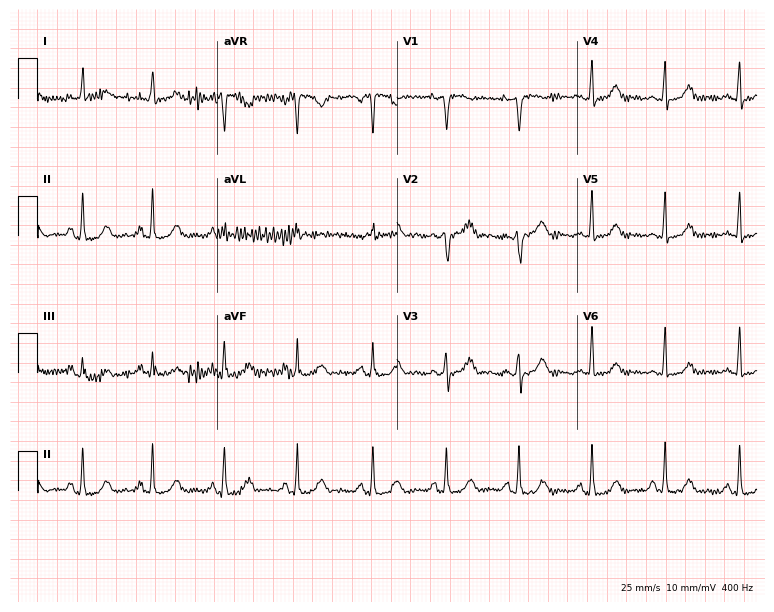
Electrocardiogram (7.3-second recording at 400 Hz), a 50-year-old female. Of the six screened findings (first-degree AV block, right bundle branch block, left bundle branch block, sinus bradycardia, atrial fibrillation, sinus tachycardia), none is recorded. Only these six findings were labelled.